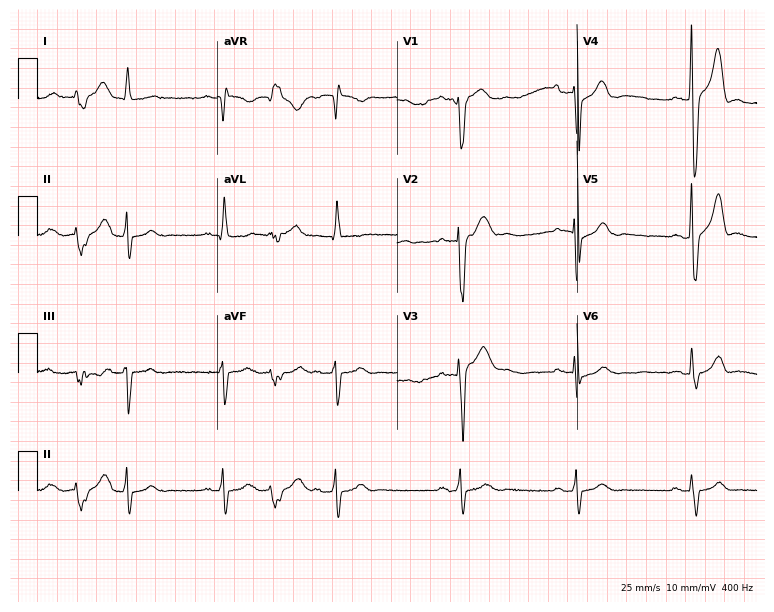
Electrocardiogram (7.3-second recording at 400 Hz), a male patient, 78 years old. Of the six screened findings (first-degree AV block, right bundle branch block, left bundle branch block, sinus bradycardia, atrial fibrillation, sinus tachycardia), none is recorded. Other findings, if any, are not listed.